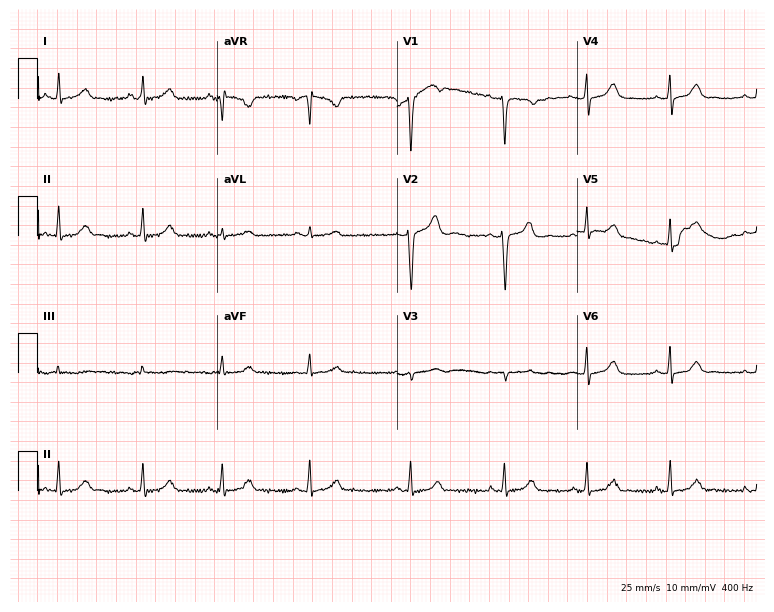
Resting 12-lead electrocardiogram. Patient: a woman, 20 years old. Read as a normal ECG.